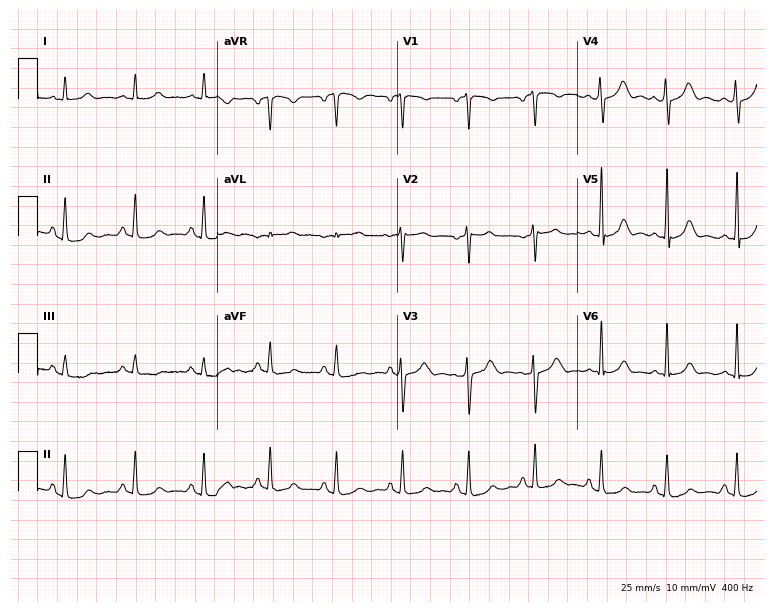
Resting 12-lead electrocardiogram. Patient: a female, 26 years old. None of these six findings is recorded: first-degree AV block, right bundle branch block, left bundle branch block, sinus bradycardia, atrial fibrillation, sinus tachycardia. Findings outside these six are not listed.